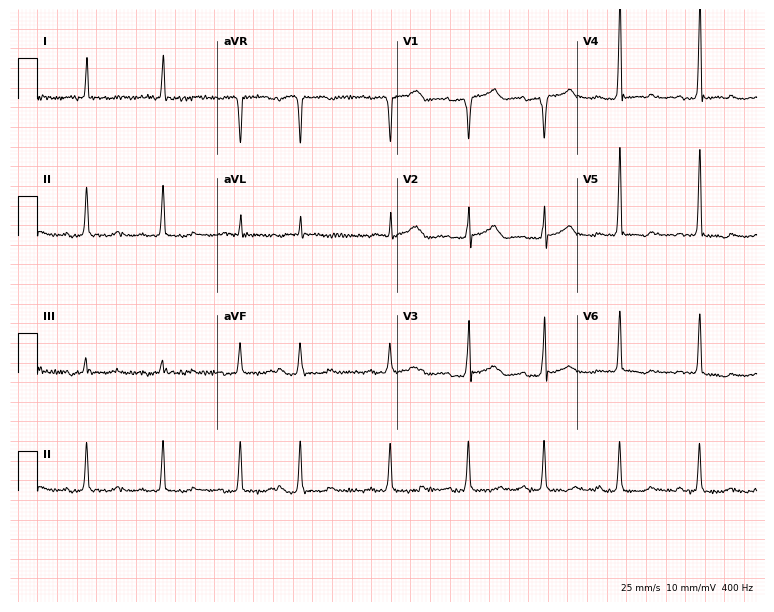
Resting 12-lead electrocardiogram (7.3-second recording at 400 Hz). Patient: a female, 83 years old. None of these six findings is recorded: first-degree AV block, right bundle branch block (RBBB), left bundle branch block (LBBB), sinus bradycardia, atrial fibrillation (AF), sinus tachycardia. Findings outside these six are not listed.